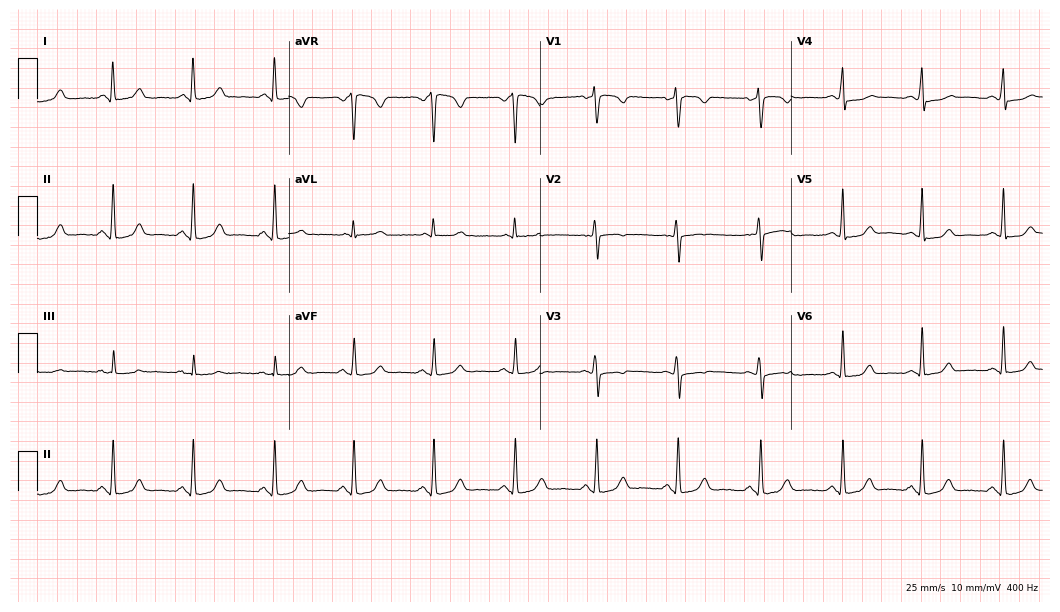
Resting 12-lead electrocardiogram (10.2-second recording at 400 Hz). Patient: a 56-year-old woman. Read as a normal ECG.